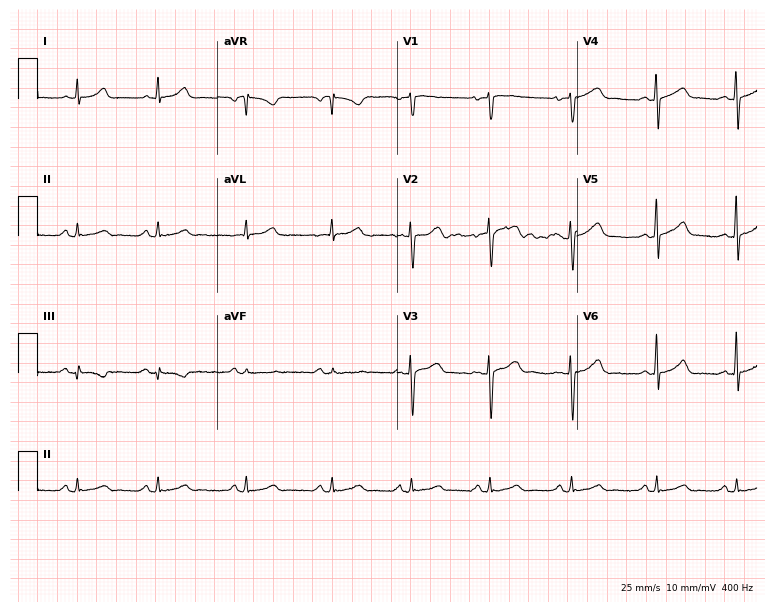
12-lead ECG from a female patient, 24 years old (7.3-second recording at 400 Hz). Recorded interpretation: within normal limits.